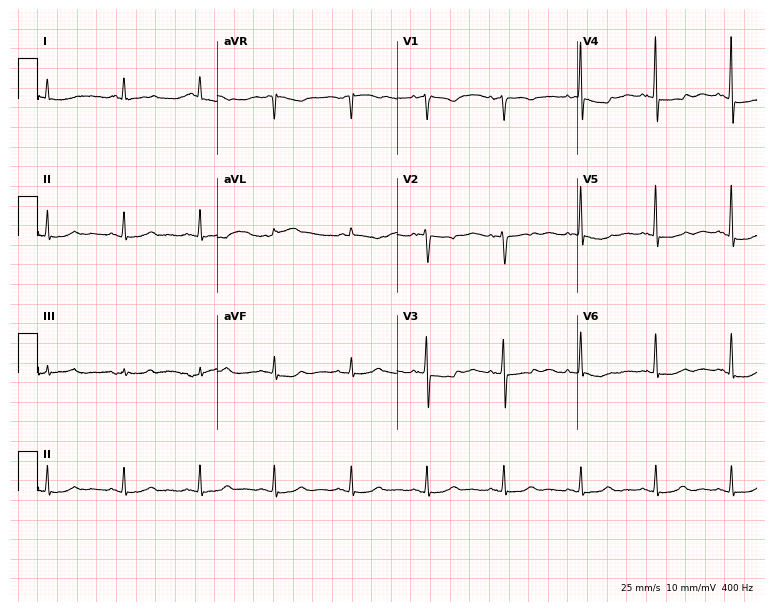
ECG (7.3-second recording at 400 Hz) — a woman, 64 years old. Screened for six findings — first-degree AV block, right bundle branch block (RBBB), left bundle branch block (LBBB), sinus bradycardia, atrial fibrillation (AF), sinus tachycardia — none is recorded.